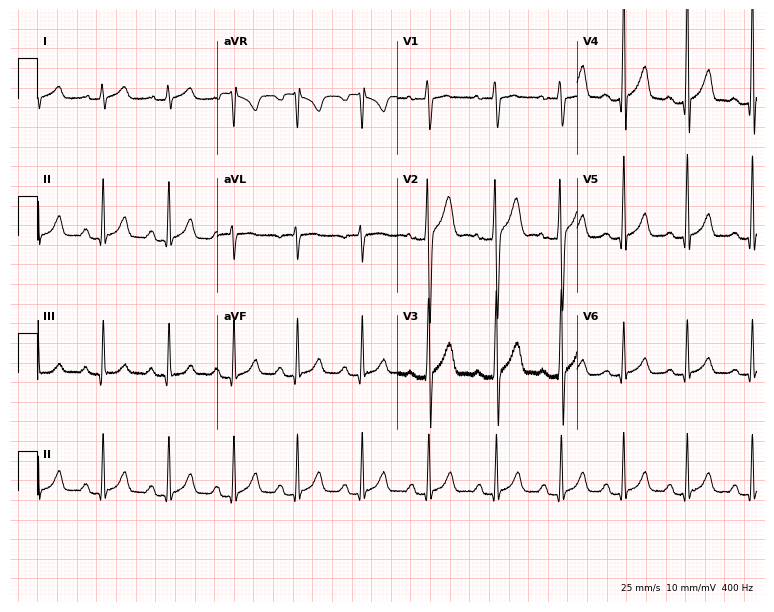
Electrocardiogram, an 18-year-old male patient. Overall reading on record: normal ECG.